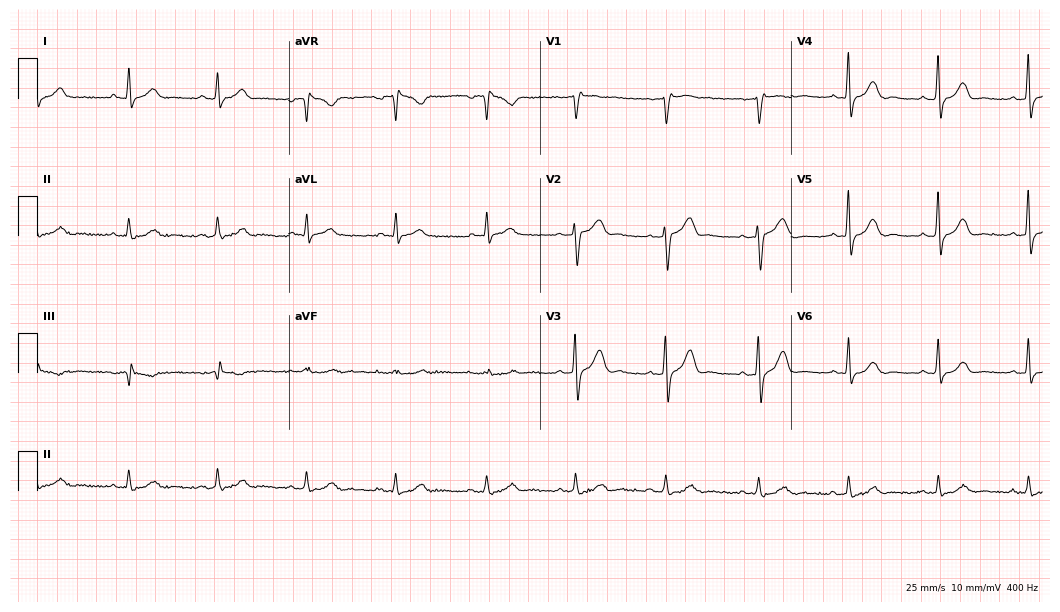
Standard 12-lead ECG recorded from a male, 53 years old (10.2-second recording at 400 Hz). Read as a normal ECG.